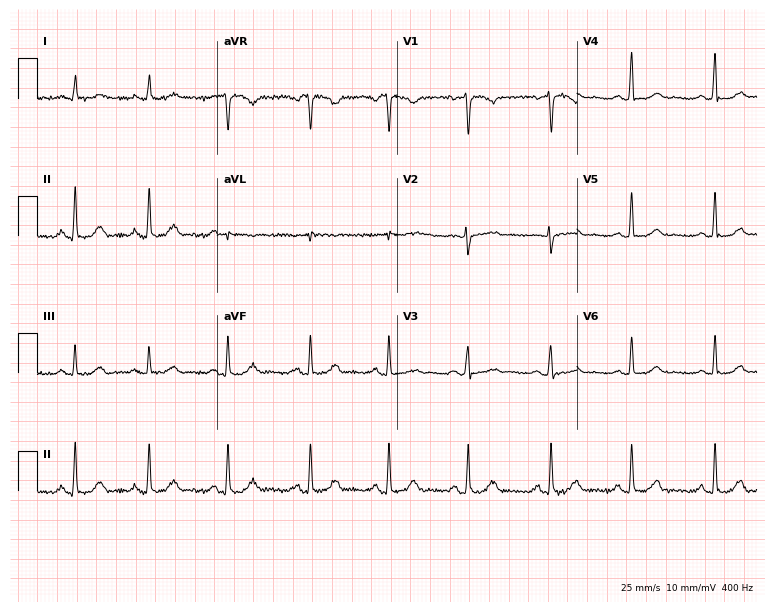
12-lead ECG from a 37-year-old female patient. Recorded interpretation: within normal limits.